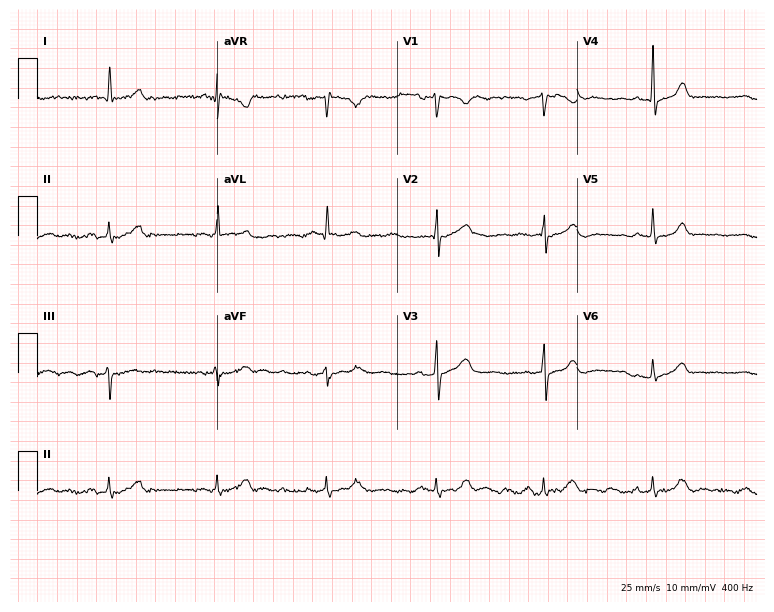
Standard 12-lead ECG recorded from a 72-year-old male patient. Read as a normal ECG.